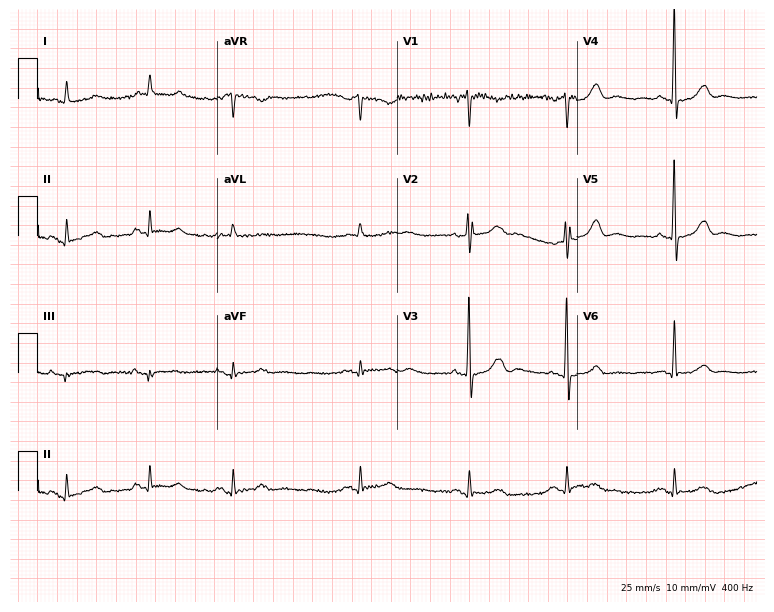
Resting 12-lead electrocardiogram. Patient: a 78-year-old man. None of these six findings is recorded: first-degree AV block, right bundle branch block (RBBB), left bundle branch block (LBBB), sinus bradycardia, atrial fibrillation (AF), sinus tachycardia. Only these six findings were labelled.